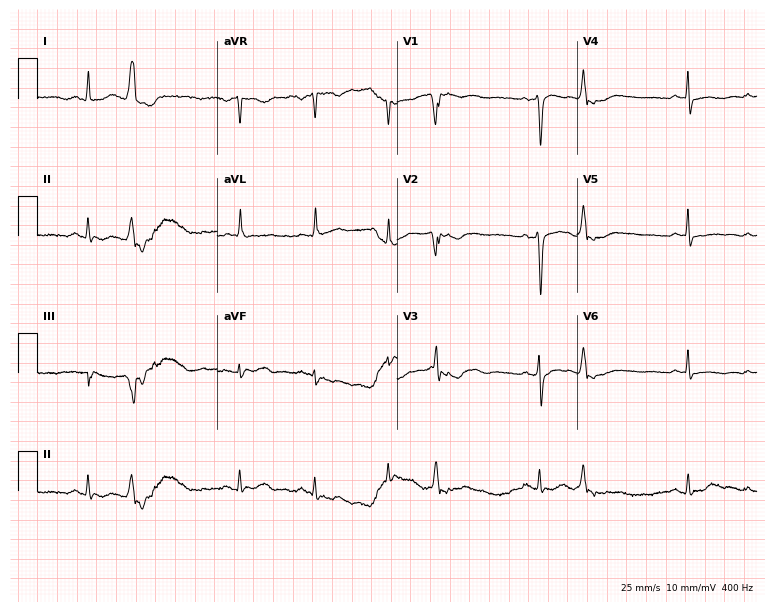
ECG (7.3-second recording at 400 Hz) — an 80-year-old female patient. Screened for six findings — first-degree AV block, right bundle branch block, left bundle branch block, sinus bradycardia, atrial fibrillation, sinus tachycardia — none is recorded.